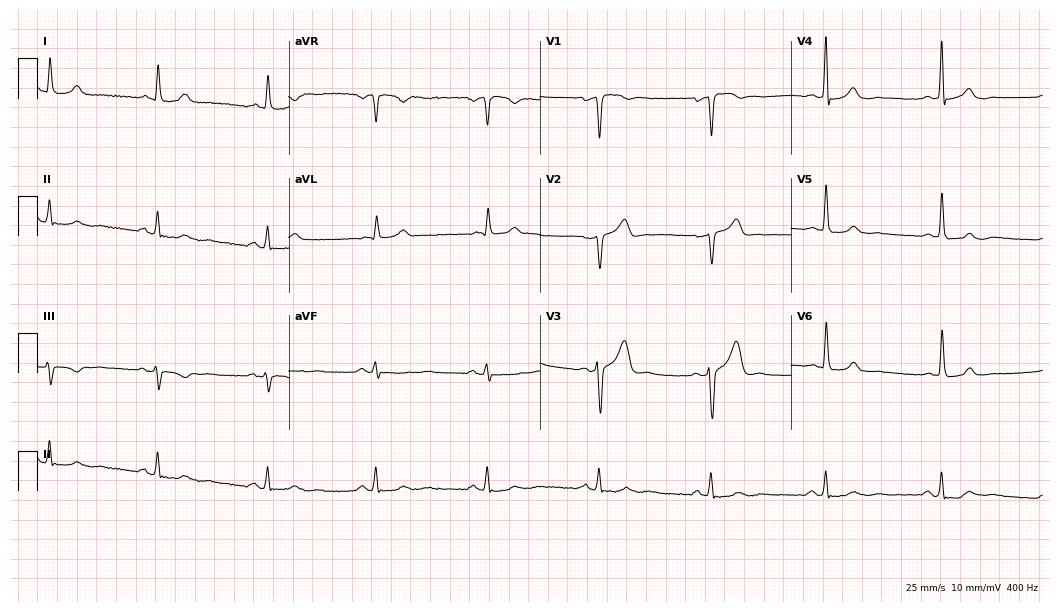
12-lead ECG from a 58-year-old male. Recorded interpretation: within normal limits.